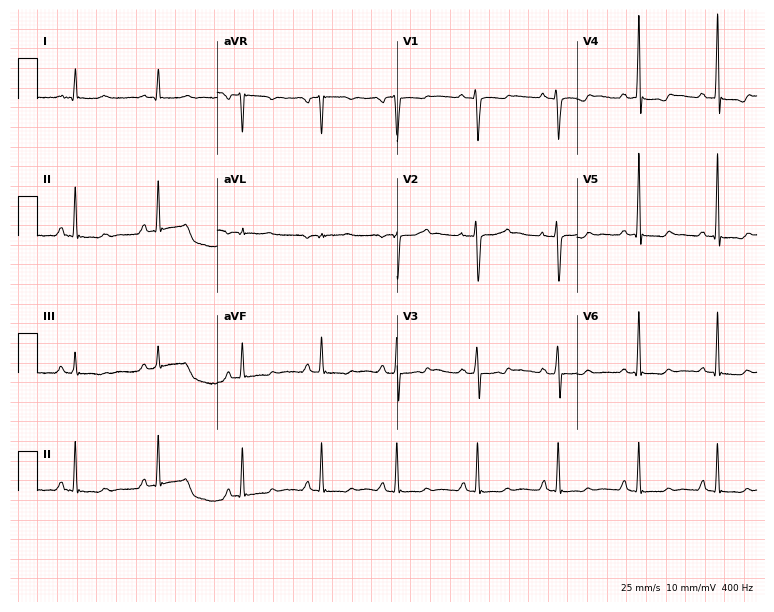
12-lead ECG from a woman, 31 years old. Screened for six findings — first-degree AV block, right bundle branch block, left bundle branch block, sinus bradycardia, atrial fibrillation, sinus tachycardia — none is recorded. Findings outside these six are not listed.